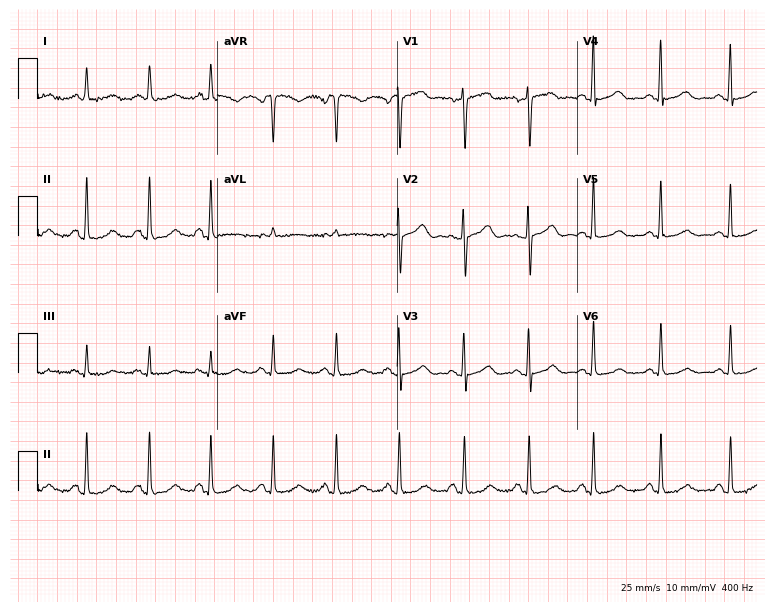
Electrocardiogram (7.3-second recording at 400 Hz), a female, 50 years old. Overall reading on record: normal ECG.